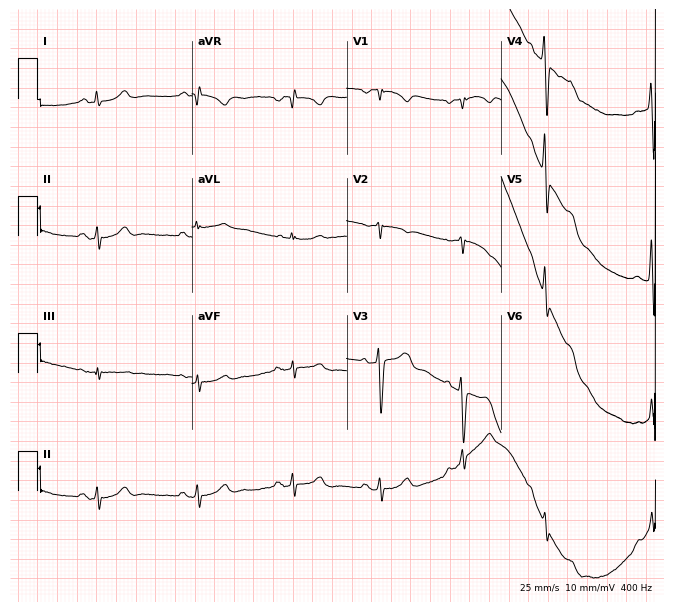
12-lead ECG from a 50-year-old male (6.3-second recording at 400 Hz). No first-degree AV block, right bundle branch block (RBBB), left bundle branch block (LBBB), sinus bradycardia, atrial fibrillation (AF) or sinus tachycardia recorded for this tracing.